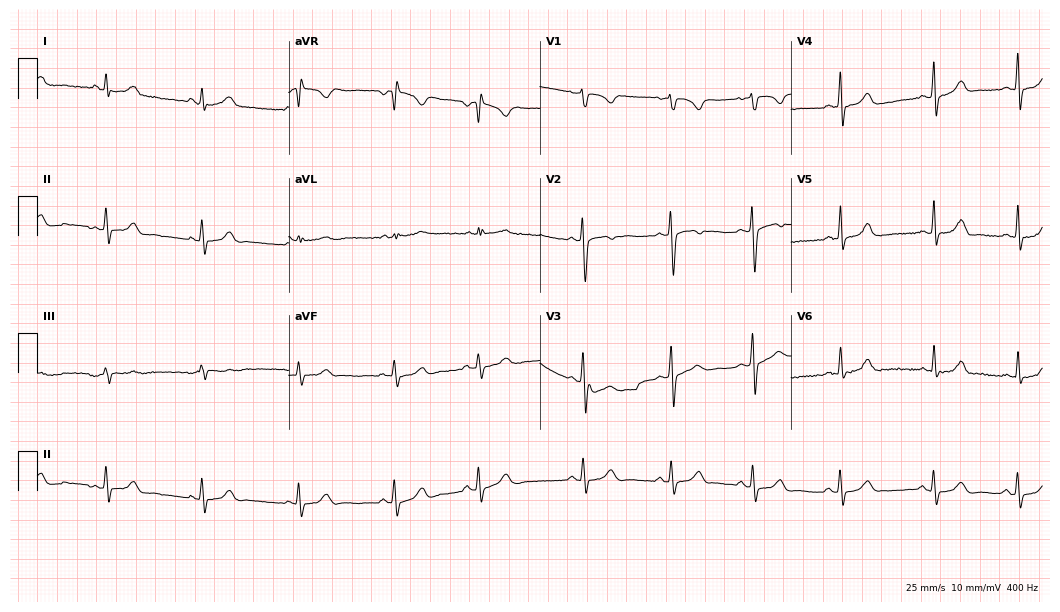
Resting 12-lead electrocardiogram (10.2-second recording at 400 Hz). Patient: a woman, 22 years old. None of these six findings is recorded: first-degree AV block, right bundle branch block, left bundle branch block, sinus bradycardia, atrial fibrillation, sinus tachycardia.